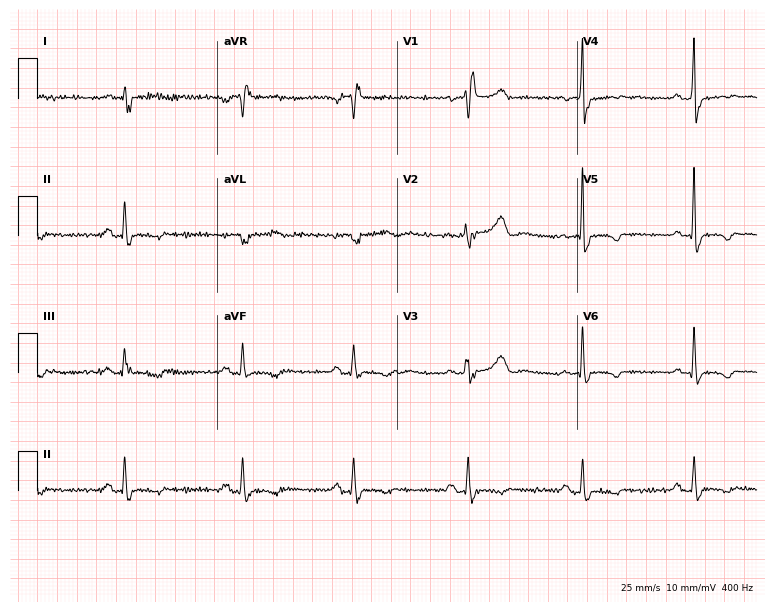
Resting 12-lead electrocardiogram. Patient: a female, 59 years old. The tracing shows right bundle branch block.